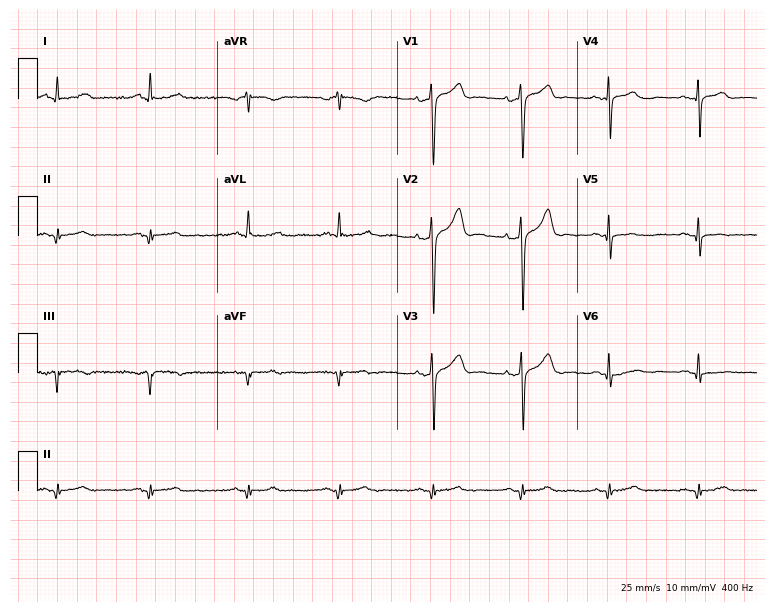
12-lead ECG (7.3-second recording at 400 Hz) from a male patient, 53 years old. Screened for six findings — first-degree AV block, right bundle branch block (RBBB), left bundle branch block (LBBB), sinus bradycardia, atrial fibrillation (AF), sinus tachycardia — none is recorded. Findings outside these six are not listed.